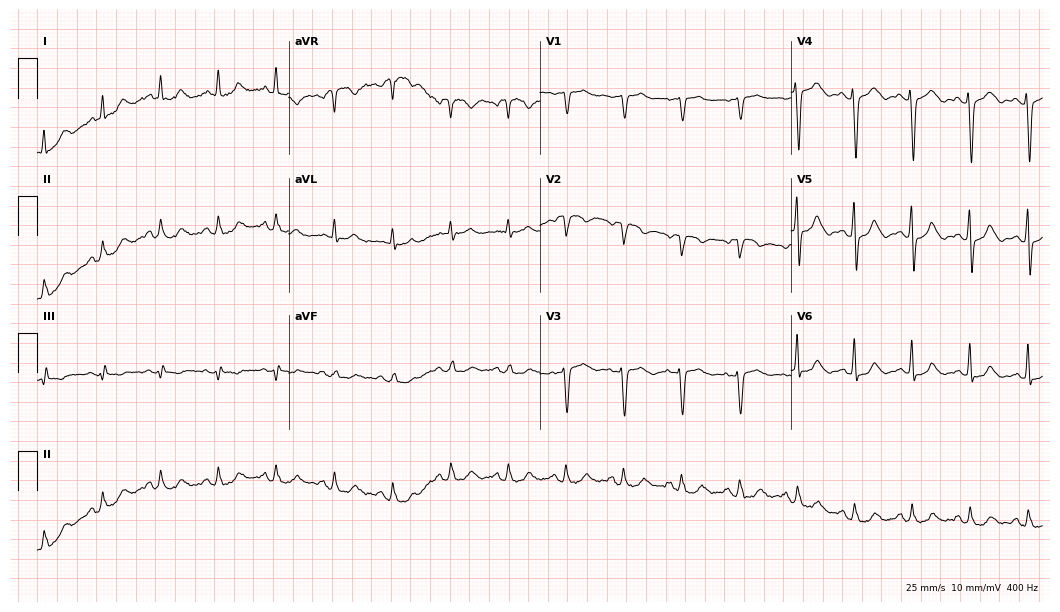
12-lead ECG from a 59-year-old female. Shows sinus tachycardia (a sinus rate of 100 beats per minute or more).